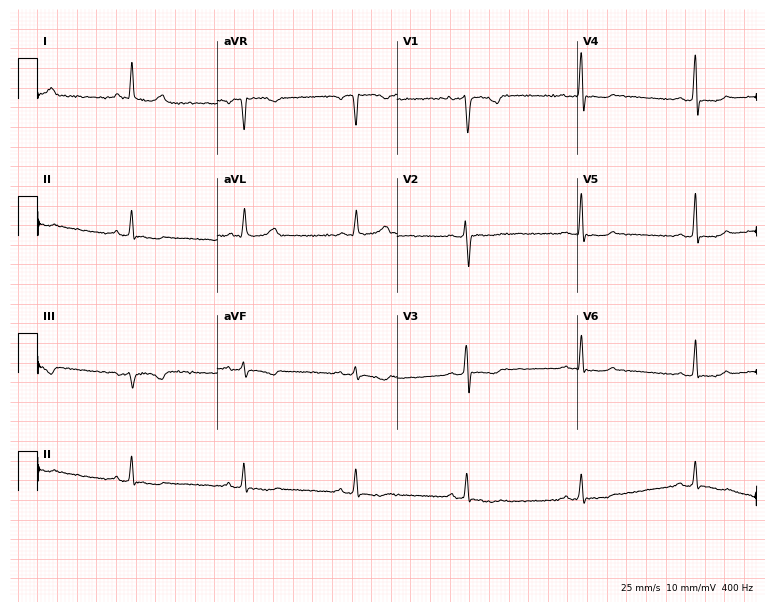
Resting 12-lead electrocardiogram (7.3-second recording at 400 Hz). Patient: a woman, 54 years old. None of these six findings is recorded: first-degree AV block, right bundle branch block, left bundle branch block, sinus bradycardia, atrial fibrillation, sinus tachycardia. Findings outside these six are not listed.